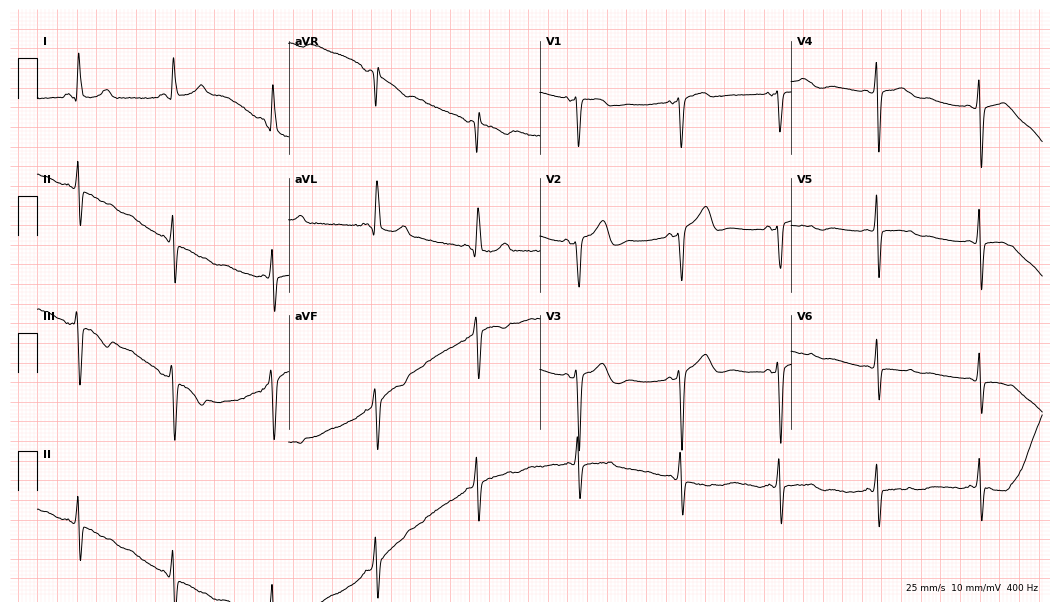
Electrocardiogram, a woman, 57 years old. Of the six screened findings (first-degree AV block, right bundle branch block, left bundle branch block, sinus bradycardia, atrial fibrillation, sinus tachycardia), none is recorded. Only these six findings were labelled.